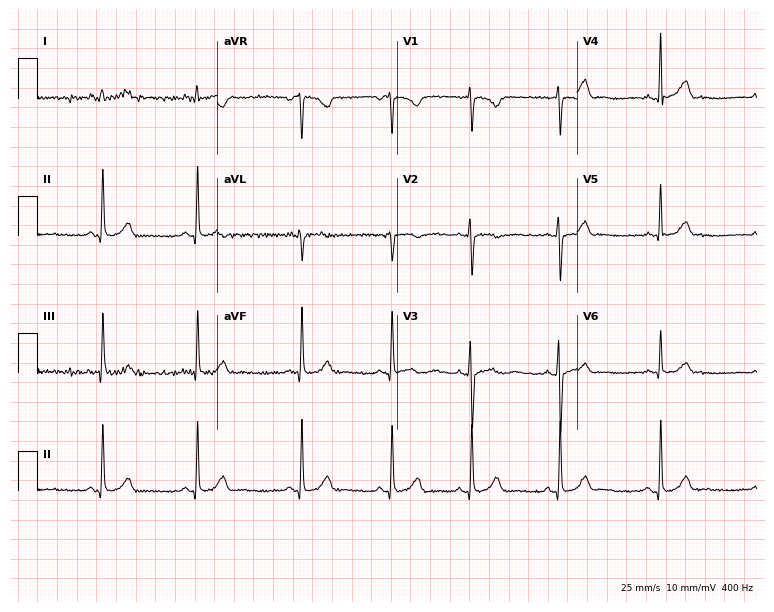
Electrocardiogram (7.3-second recording at 400 Hz), a woman, 18 years old. Overall reading on record: normal ECG.